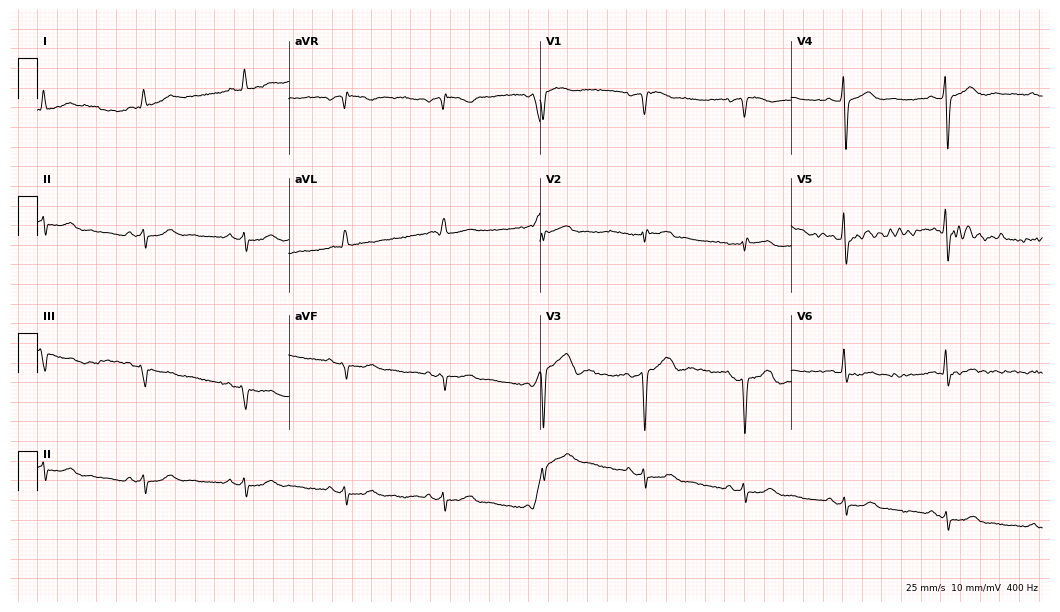
Electrocardiogram (10.2-second recording at 400 Hz), a man, 67 years old. Of the six screened findings (first-degree AV block, right bundle branch block, left bundle branch block, sinus bradycardia, atrial fibrillation, sinus tachycardia), none is recorded.